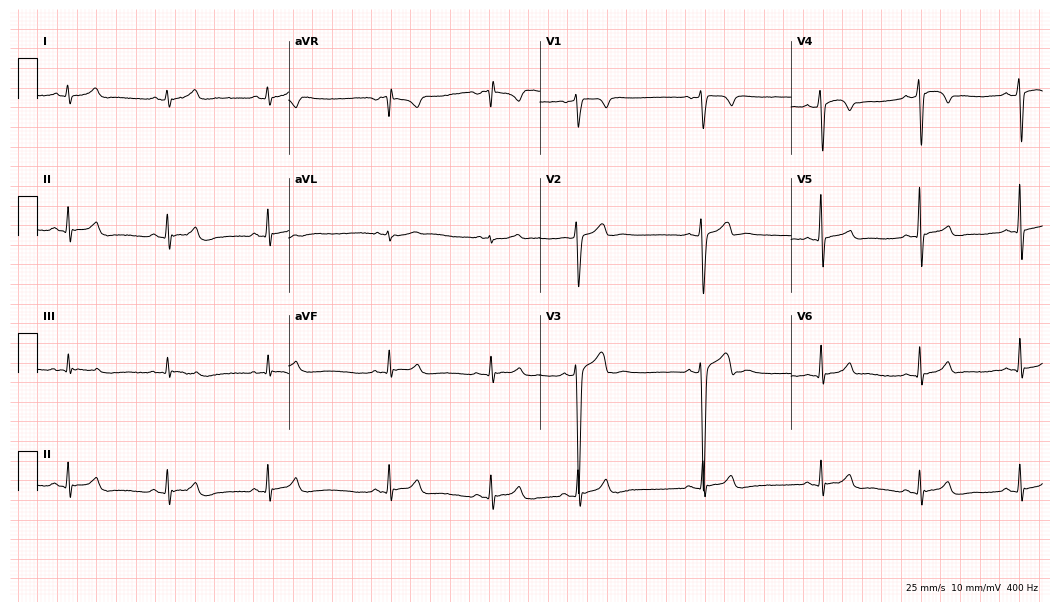
ECG (10.2-second recording at 400 Hz) — a 17-year-old man. Labelled as a normal ECG.